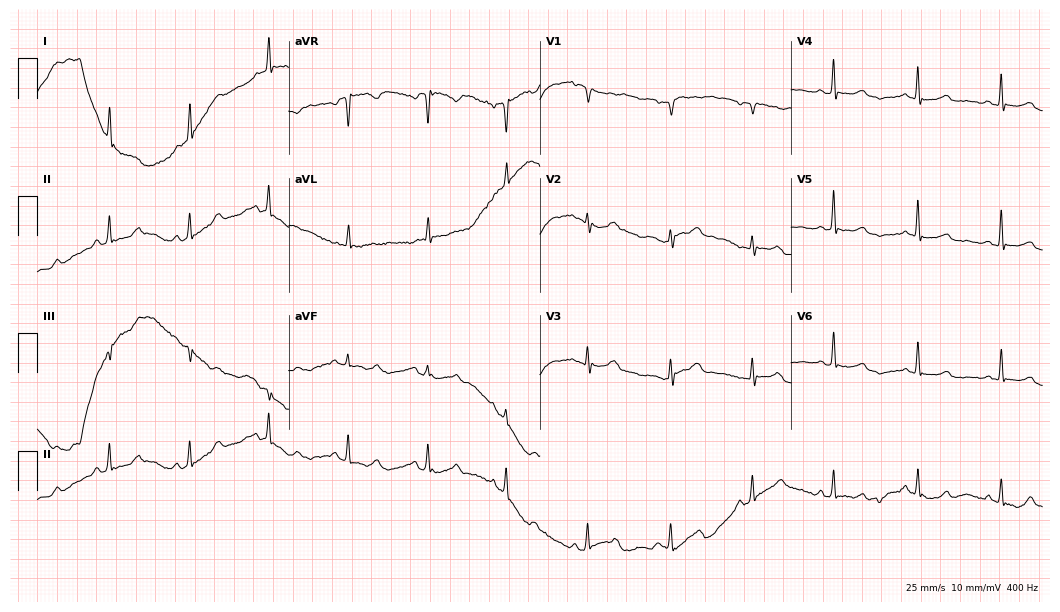
ECG — a female patient, 67 years old. Screened for six findings — first-degree AV block, right bundle branch block, left bundle branch block, sinus bradycardia, atrial fibrillation, sinus tachycardia — none is recorded. Only these six findings were labelled.